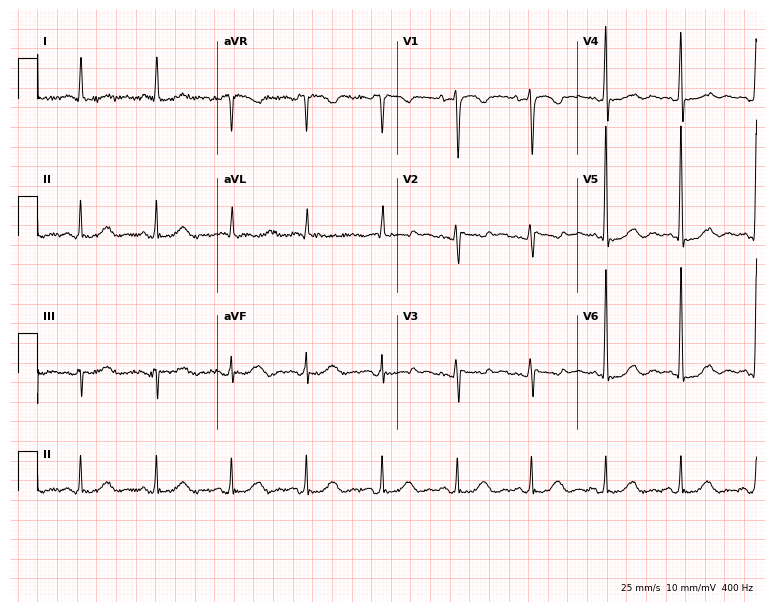
12-lead ECG from a woman, 83 years old. Screened for six findings — first-degree AV block, right bundle branch block, left bundle branch block, sinus bradycardia, atrial fibrillation, sinus tachycardia — none is recorded. Only these six findings were labelled.